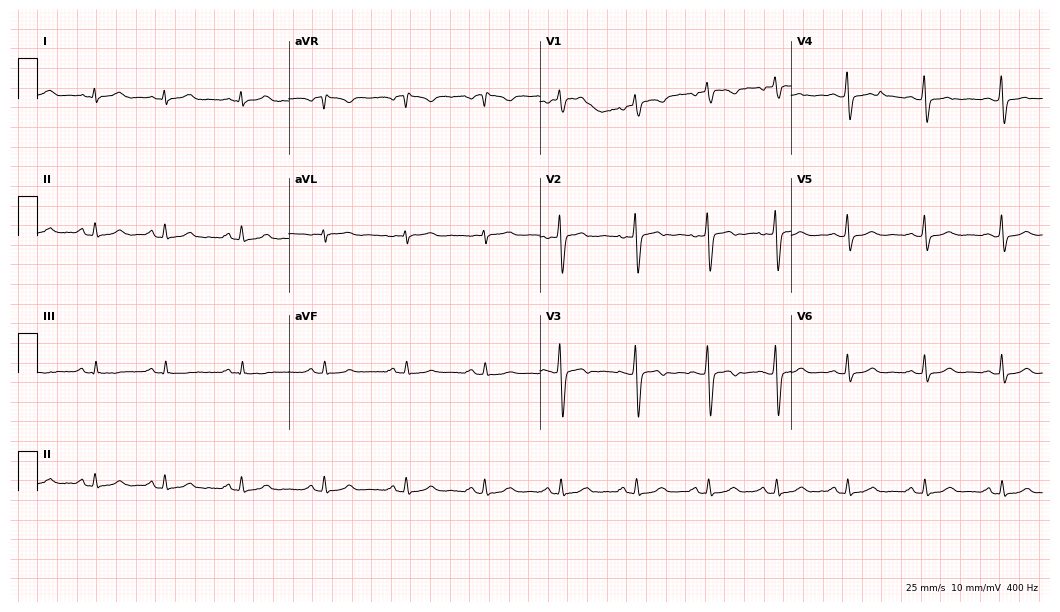
Standard 12-lead ECG recorded from a 37-year-old female (10.2-second recording at 400 Hz). None of these six findings is recorded: first-degree AV block, right bundle branch block, left bundle branch block, sinus bradycardia, atrial fibrillation, sinus tachycardia. Other findings, if any, are not listed.